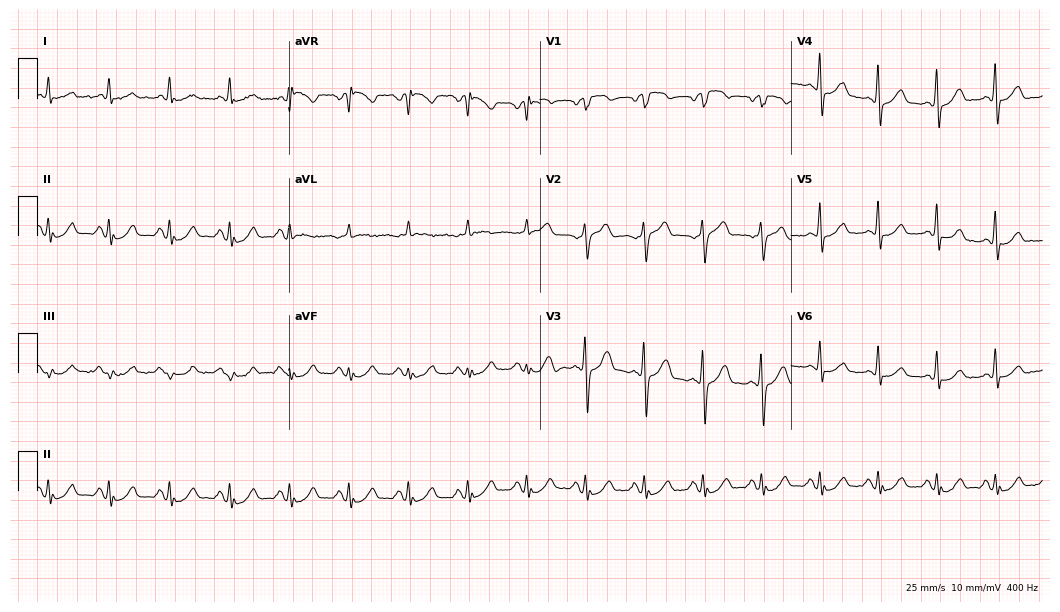
Standard 12-lead ECG recorded from a 67-year-old male patient (10.2-second recording at 400 Hz). None of these six findings is recorded: first-degree AV block, right bundle branch block, left bundle branch block, sinus bradycardia, atrial fibrillation, sinus tachycardia.